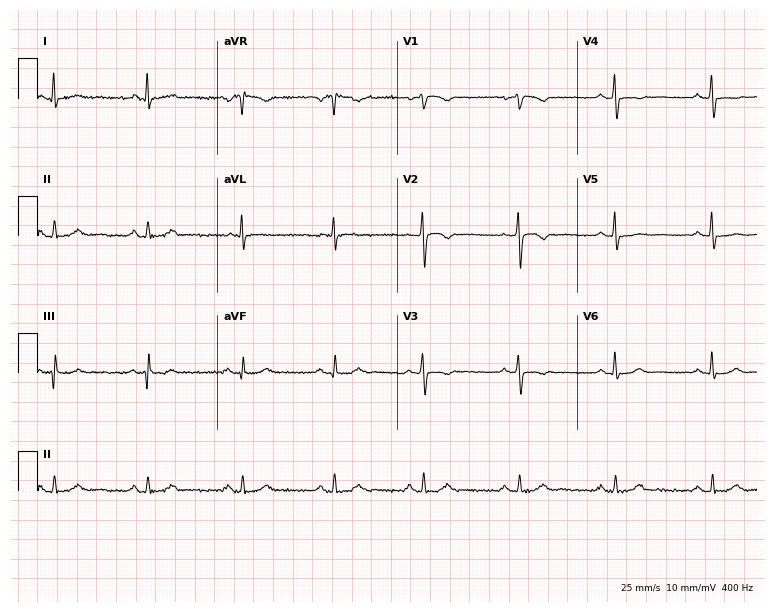
Resting 12-lead electrocardiogram (7.3-second recording at 400 Hz). Patient: a female, 55 years old. Read as a normal ECG.